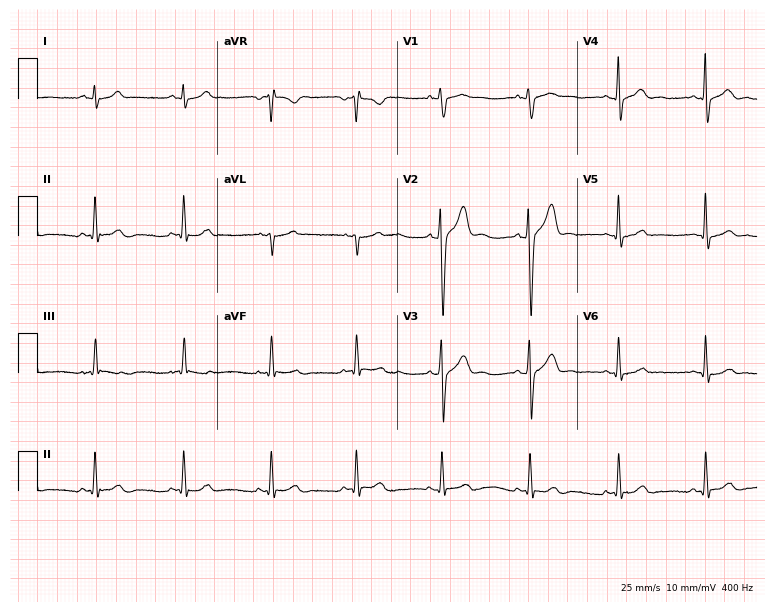
Resting 12-lead electrocardiogram. Patient: a male, 32 years old. Read as a normal ECG.